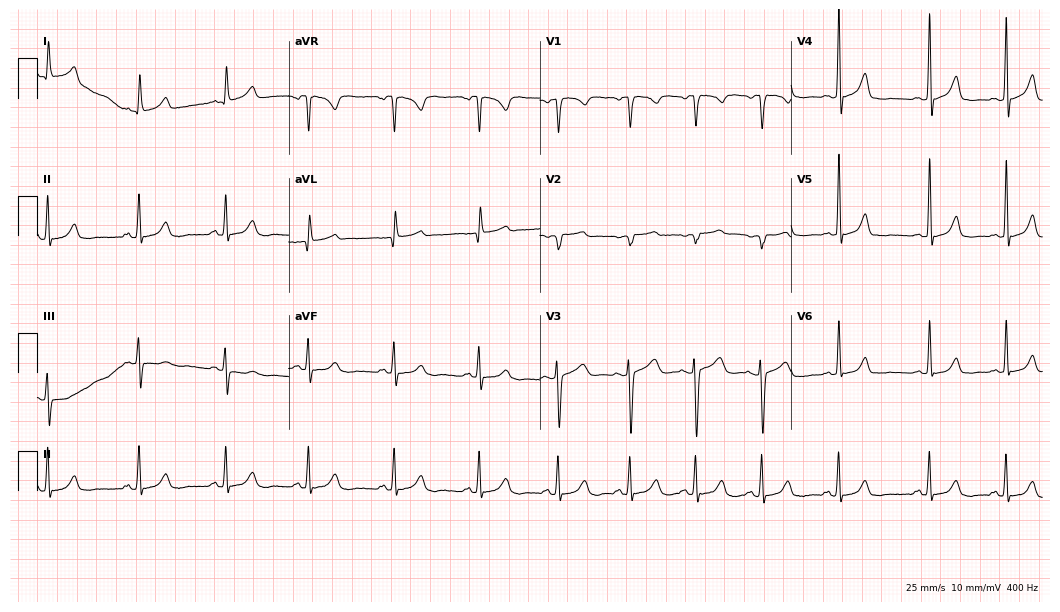
12-lead ECG from a female, 38 years old. Recorded interpretation: within normal limits.